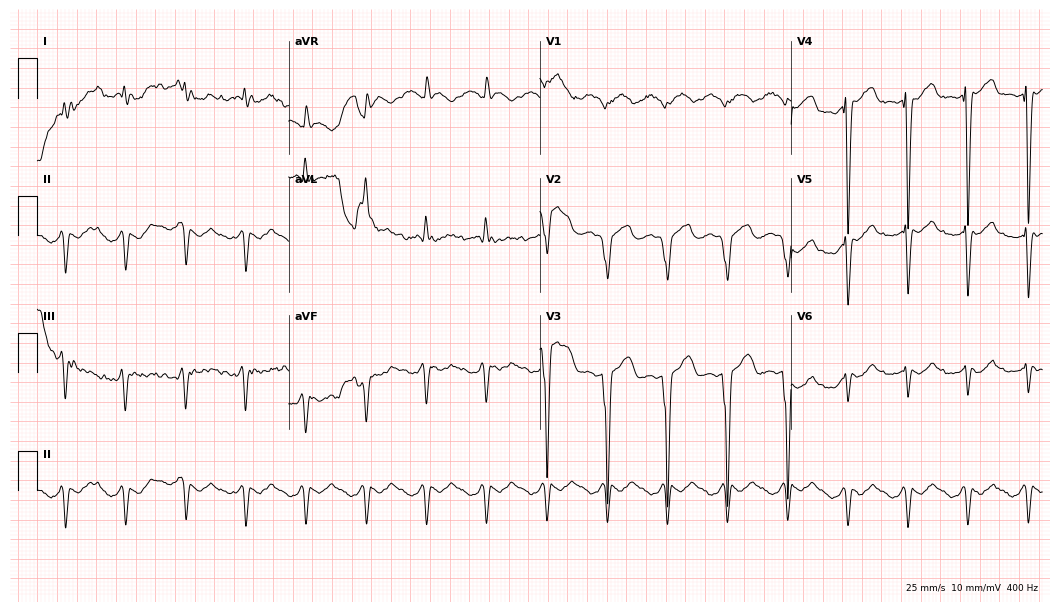
Resting 12-lead electrocardiogram. Patient: a man, 53 years old. None of these six findings is recorded: first-degree AV block, right bundle branch block (RBBB), left bundle branch block (LBBB), sinus bradycardia, atrial fibrillation (AF), sinus tachycardia. Only these six findings were labelled.